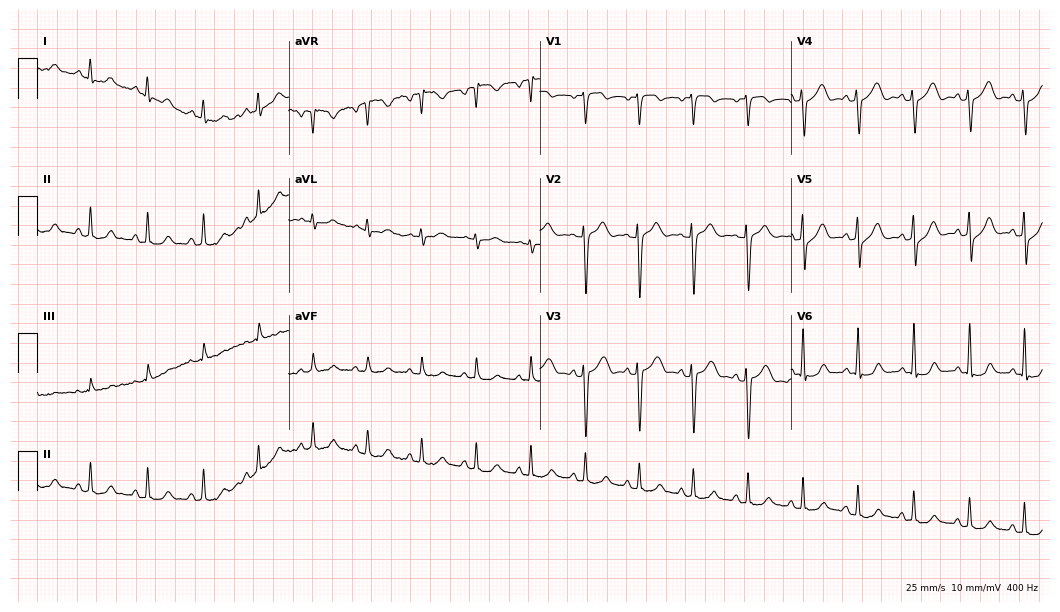
12-lead ECG from a male, 38 years old. Screened for six findings — first-degree AV block, right bundle branch block, left bundle branch block, sinus bradycardia, atrial fibrillation, sinus tachycardia — none is recorded.